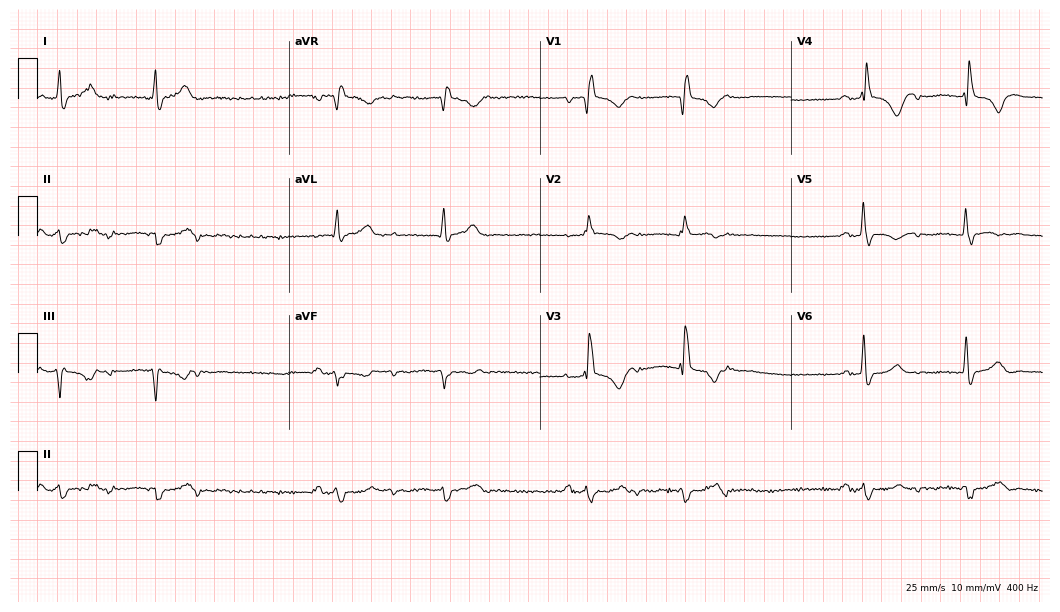
12-lead ECG from a male, 54 years old (10.2-second recording at 400 Hz). Shows first-degree AV block, right bundle branch block.